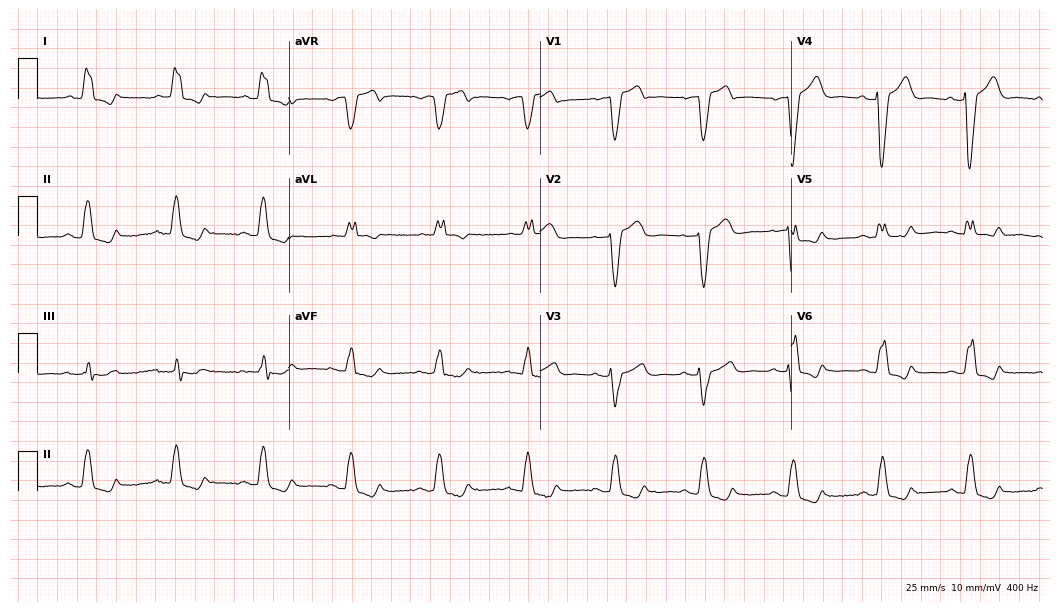
Electrocardiogram (10.2-second recording at 400 Hz), a 69-year-old female. Interpretation includes left bundle branch block (LBBB).